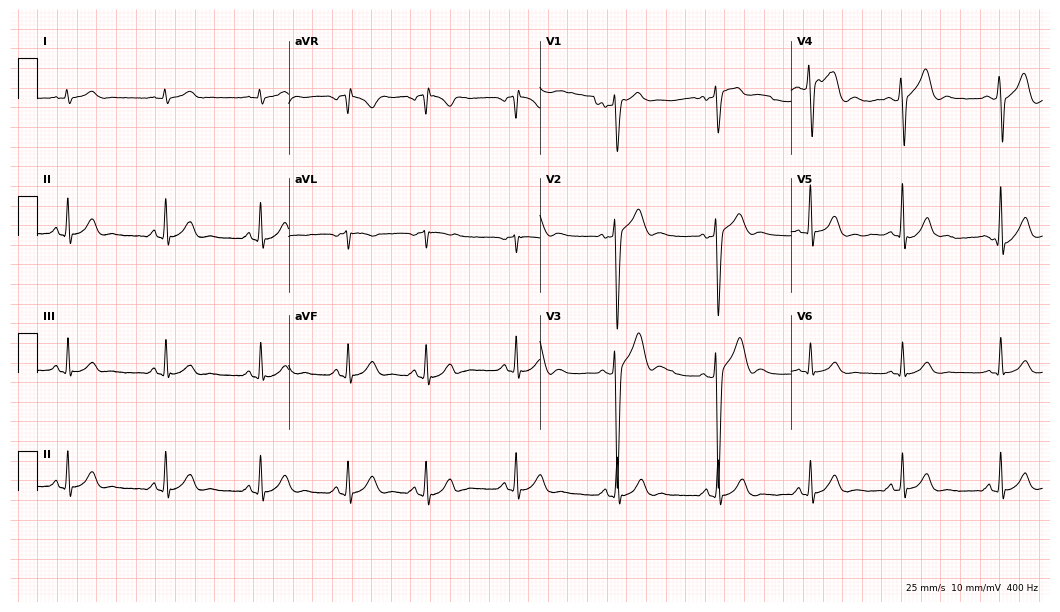
Resting 12-lead electrocardiogram (10.2-second recording at 400 Hz). Patient: a 29-year-old man. Read as a normal ECG.